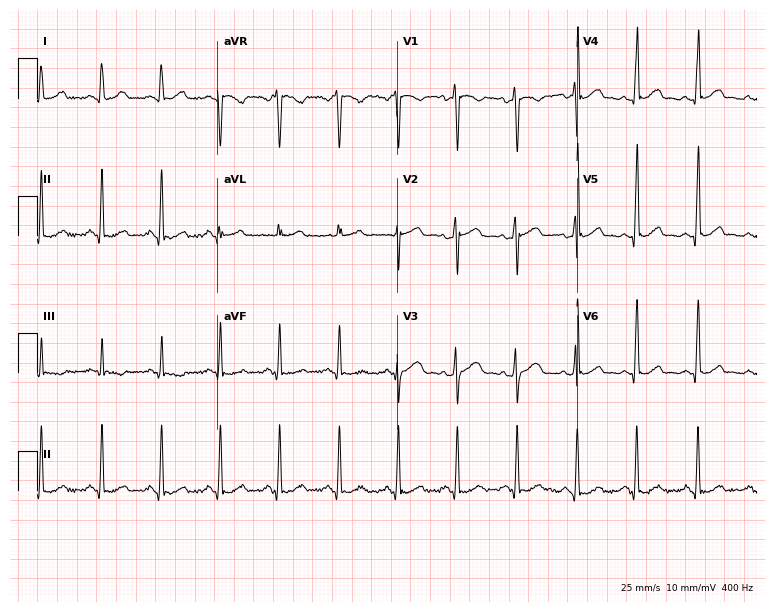
Electrocardiogram, a 28-year-old female patient. Of the six screened findings (first-degree AV block, right bundle branch block (RBBB), left bundle branch block (LBBB), sinus bradycardia, atrial fibrillation (AF), sinus tachycardia), none is recorded. Only these six findings were labelled.